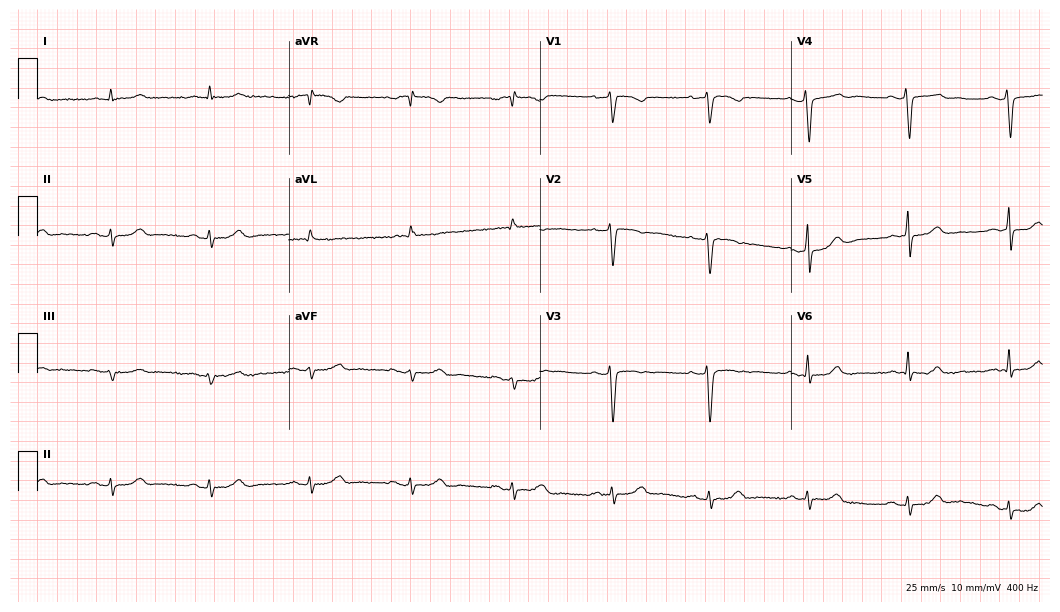
Standard 12-lead ECG recorded from a female, 52 years old (10.2-second recording at 400 Hz). None of these six findings is recorded: first-degree AV block, right bundle branch block, left bundle branch block, sinus bradycardia, atrial fibrillation, sinus tachycardia. Other findings, if any, are not listed.